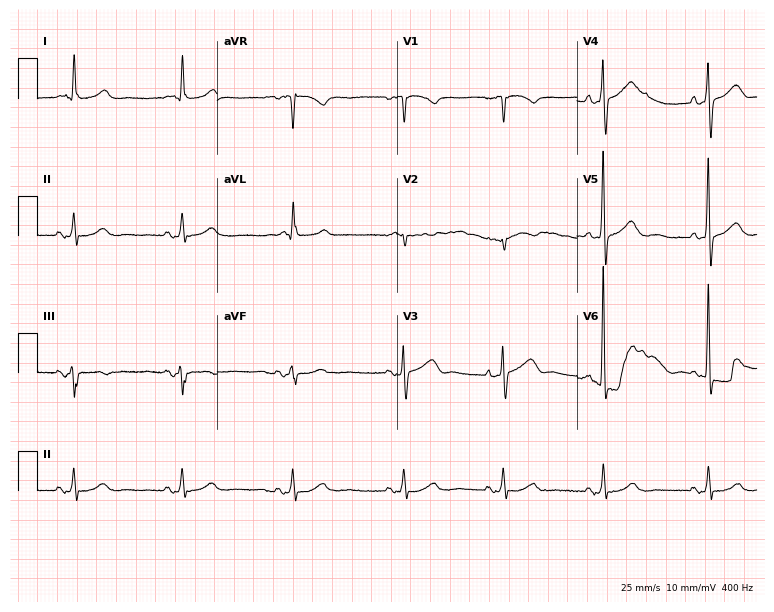
Standard 12-lead ECG recorded from an 81-year-old man (7.3-second recording at 400 Hz). Read as a normal ECG.